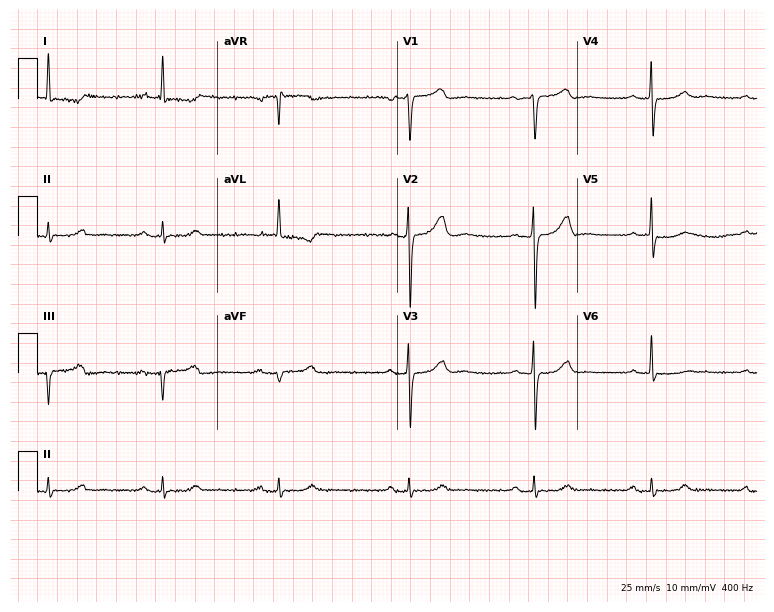
Standard 12-lead ECG recorded from a woman, 70 years old. The tracing shows sinus bradycardia (a sinus rate of 50 beats per minute or less).